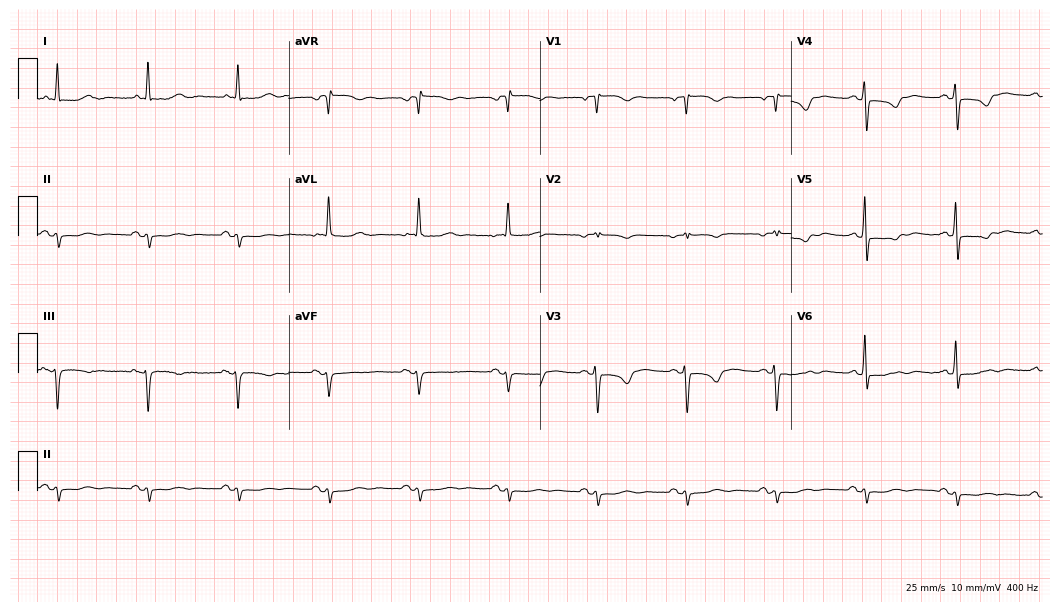
Electrocardiogram, a 72-year-old female. Of the six screened findings (first-degree AV block, right bundle branch block, left bundle branch block, sinus bradycardia, atrial fibrillation, sinus tachycardia), none is recorded.